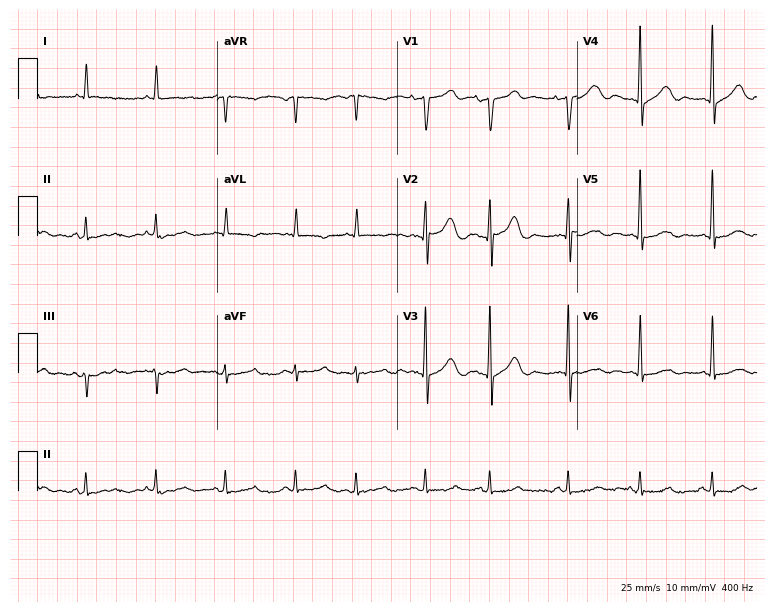
12-lead ECG from a 68-year-old man. No first-degree AV block, right bundle branch block, left bundle branch block, sinus bradycardia, atrial fibrillation or sinus tachycardia recorded for this tracing.